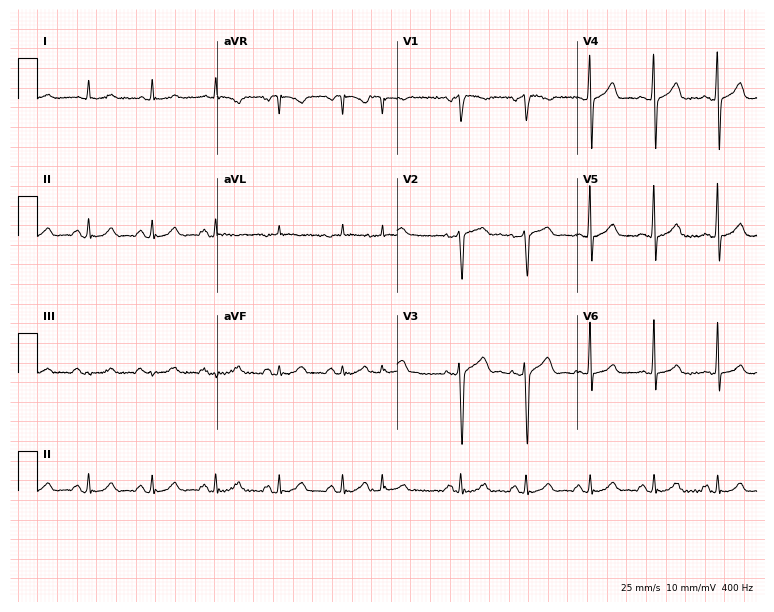
ECG — a 55-year-old male patient. Screened for six findings — first-degree AV block, right bundle branch block, left bundle branch block, sinus bradycardia, atrial fibrillation, sinus tachycardia — none is recorded.